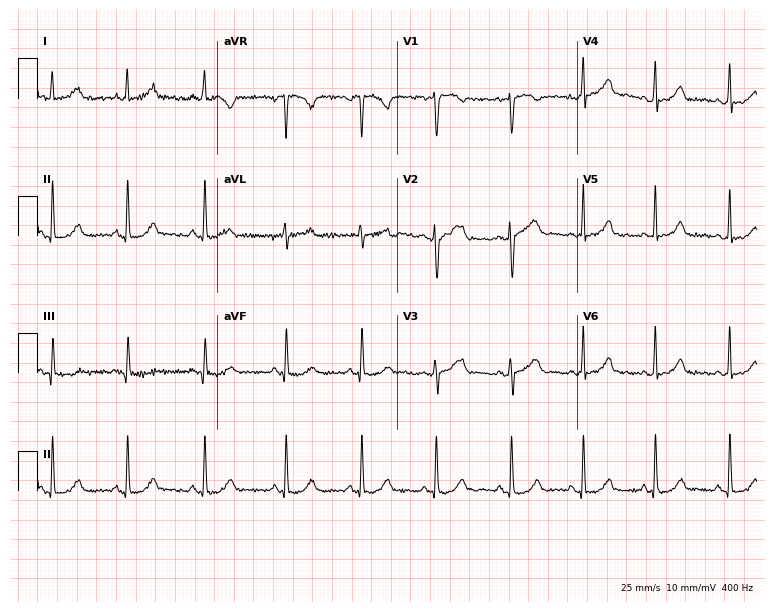
12-lead ECG from a 49-year-old woman. Screened for six findings — first-degree AV block, right bundle branch block, left bundle branch block, sinus bradycardia, atrial fibrillation, sinus tachycardia — none is recorded. Only these six findings were labelled.